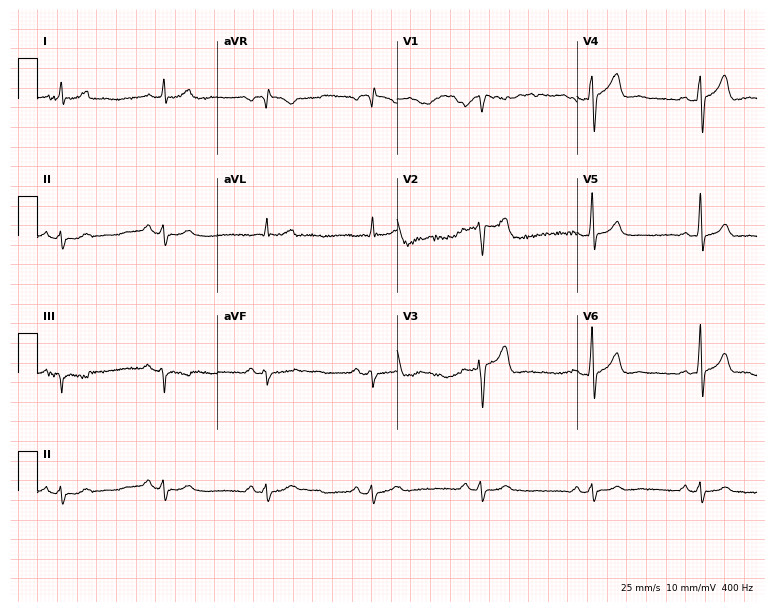
12-lead ECG (7.3-second recording at 400 Hz) from a 37-year-old male. Labelled as a normal ECG.